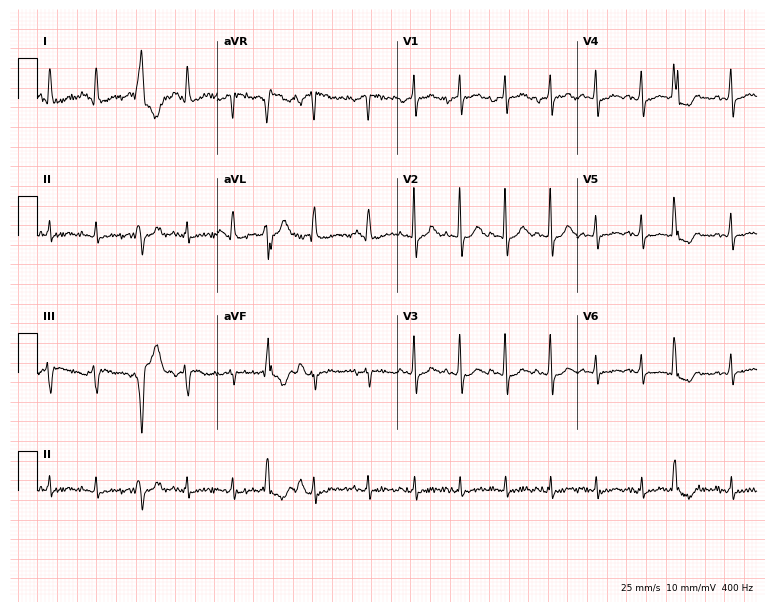
12-lead ECG from a 76-year-old female patient (7.3-second recording at 400 Hz). Shows sinus tachycardia (a sinus rate of 100 beats per minute or more).